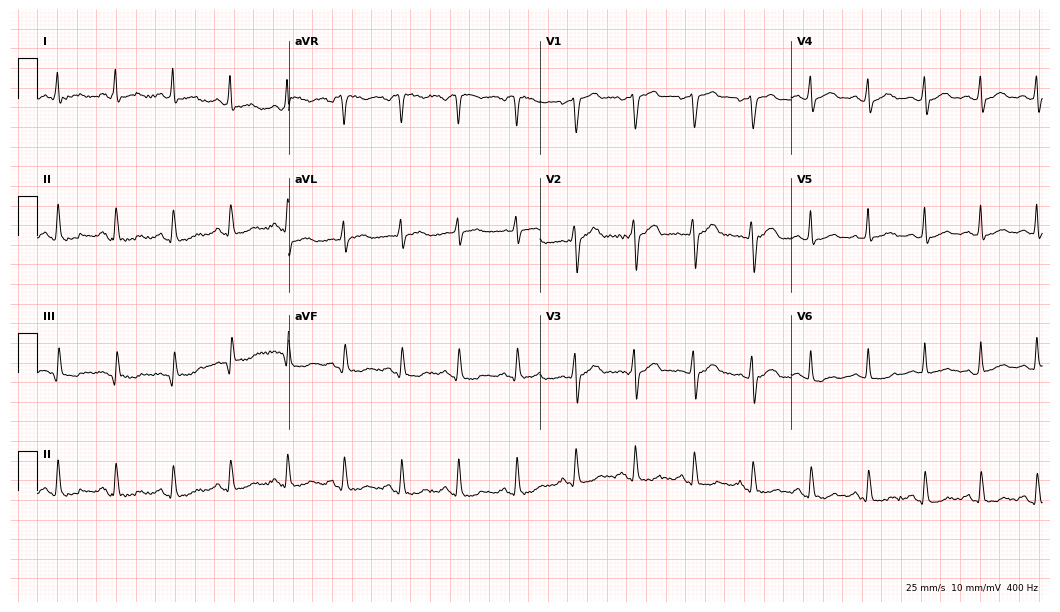
Electrocardiogram (10.2-second recording at 400 Hz), a 39-year-old male patient. Interpretation includes sinus tachycardia (a sinus rate of 100 beats per minute or more).